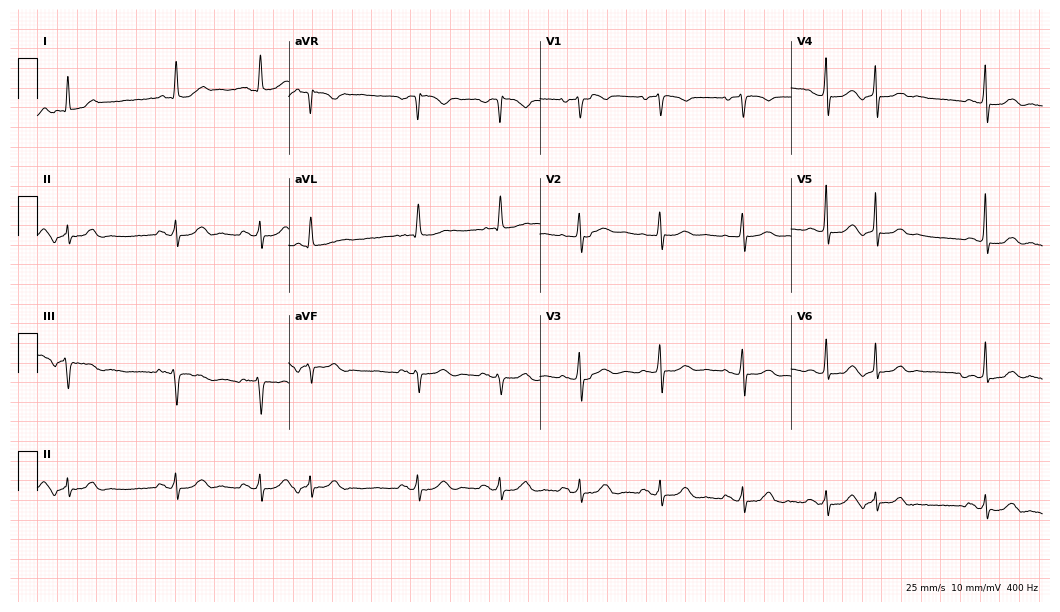
ECG (10.2-second recording at 400 Hz) — a woman, 76 years old. Screened for six findings — first-degree AV block, right bundle branch block, left bundle branch block, sinus bradycardia, atrial fibrillation, sinus tachycardia — none is recorded. Only these six findings were labelled.